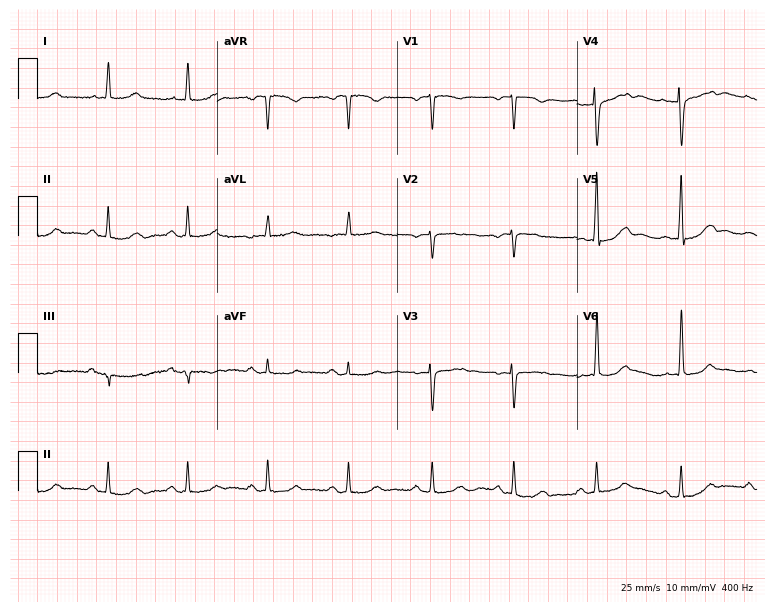
Electrocardiogram (7.3-second recording at 400 Hz), a woman, 64 years old. Of the six screened findings (first-degree AV block, right bundle branch block (RBBB), left bundle branch block (LBBB), sinus bradycardia, atrial fibrillation (AF), sinus tachycardia), none is recorded. Only these six findings were labelled.